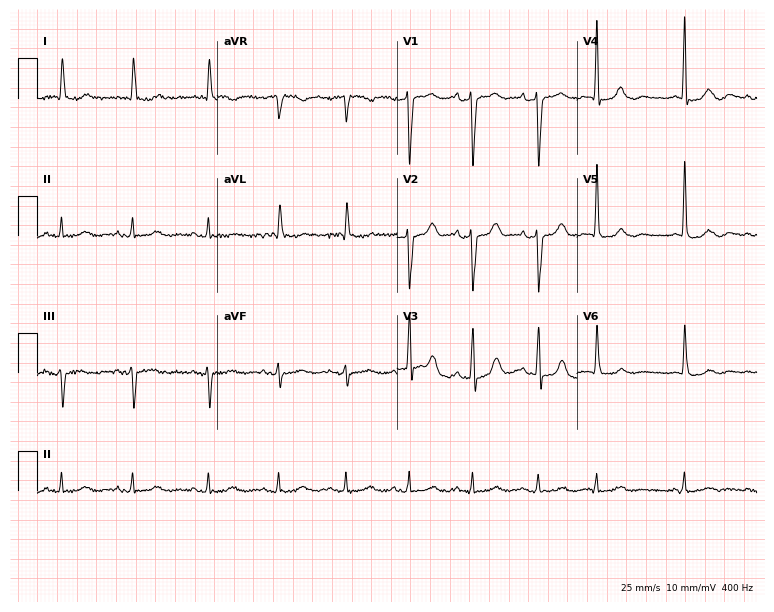
Electrocardiogram, a female patient, 83 years old. Of the six screened findings (first-degree AV block, right bundle branch block, left bundle branch block, sinus bradycardia, atrial fibrillation, sinus tachycardia), none is recorded.